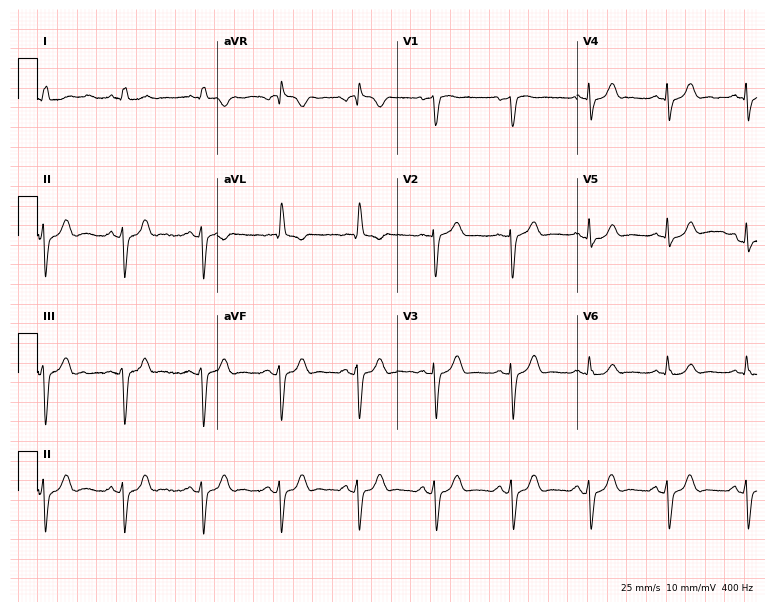
Resting 12-lead electrocardiogram (7.3-second recording at 400 Hz). Patient: a male, 76 years old. None of these six findings is recorded: first-degree AV block, right bundle branch block, left bundle branch block, sinus bradycardia, atrial fibrillation, sinus tachycardia.